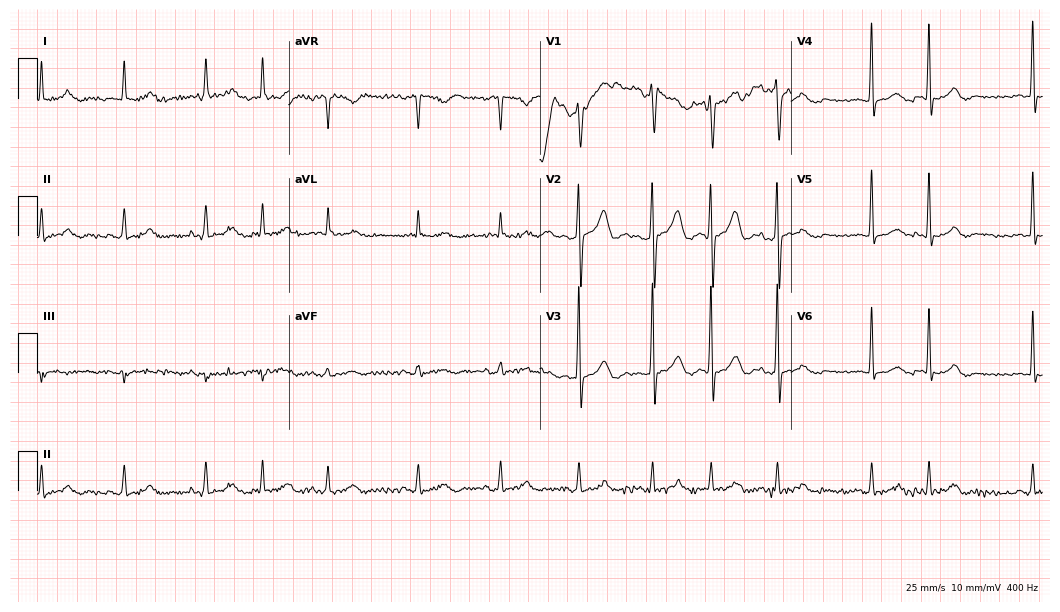
12-lead ECG (10.2-second recording at 400 Hz) from a man, 77 years old. Screened for six findings — first-degree AV block, right bundle branch block, left bundle branch block, sinus bradycardia, atrial fibrillation, sinus tachycardia — none is recorded. Only these six findings were labelled.